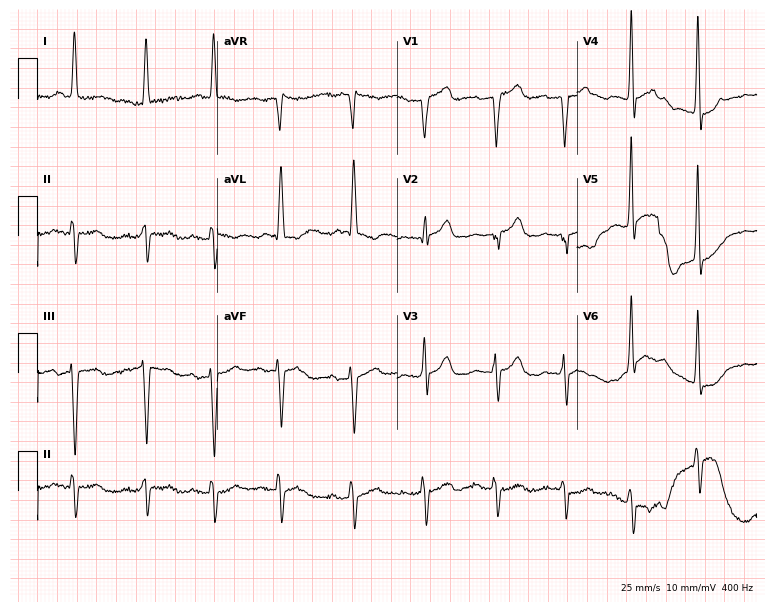
12-lead ECG from a man, 75 years old (7.3-second recording at 400 Hz). No first-degree AV block, right bundle branch block, left bundle branch block, sinus bradycardia, atrial fibrillation or sinus tachycardia recorded for this tracing. Other findings, if any, are not listed.